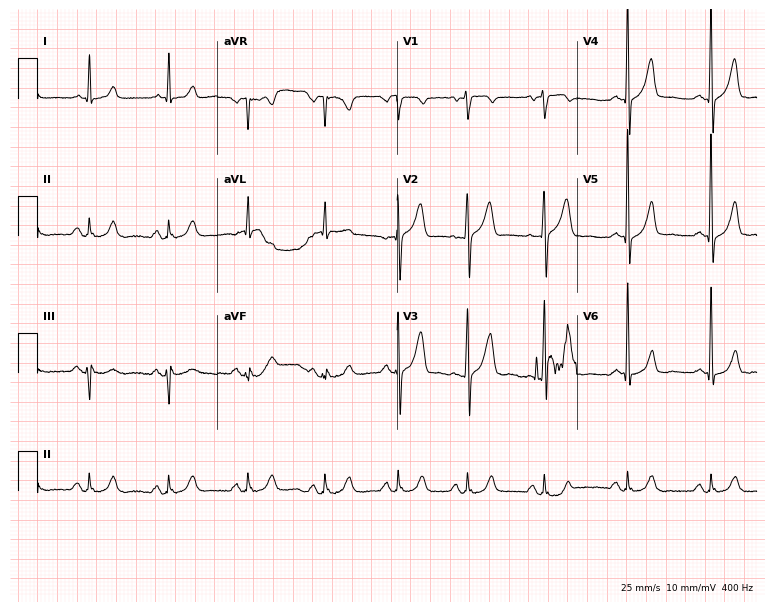
ECG — a male patient, 69 years old. Screened for six findings — first-degree AV block, right bundle branch block (RBBB), left bundle branch block (LBBB), sinus bradycardia, atrial fibrillation (AF), sinus tachycardia — none is recorded. Findings outside these six are not listed.